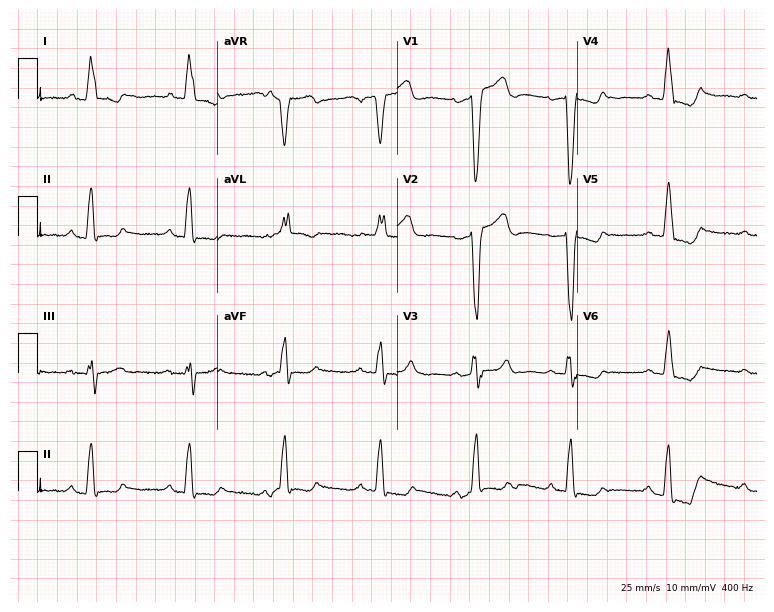
ECG — a 66-year-old female. Findings include left bundle branch block (LBBB).